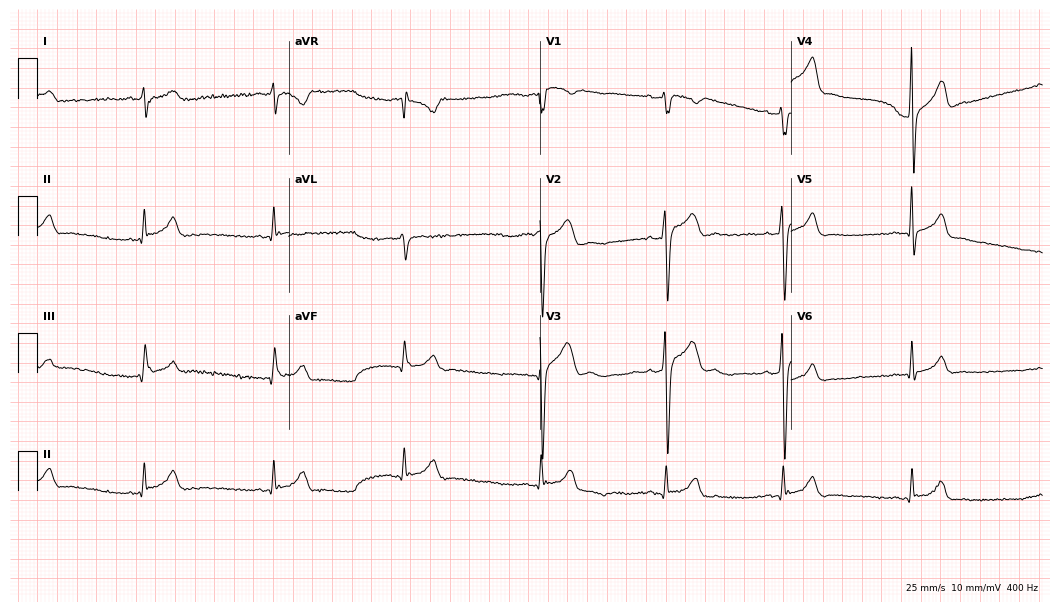
12-lead ECG from a 25-year-old man (10.2-second recording at 400 Hz). No first-degree AV block, right bundle branch block, left bundle branch block, sinus bradycardia, atrial fibrillation or sinus tachycardia recorded for this tracing. Findings outside these six are not listed.